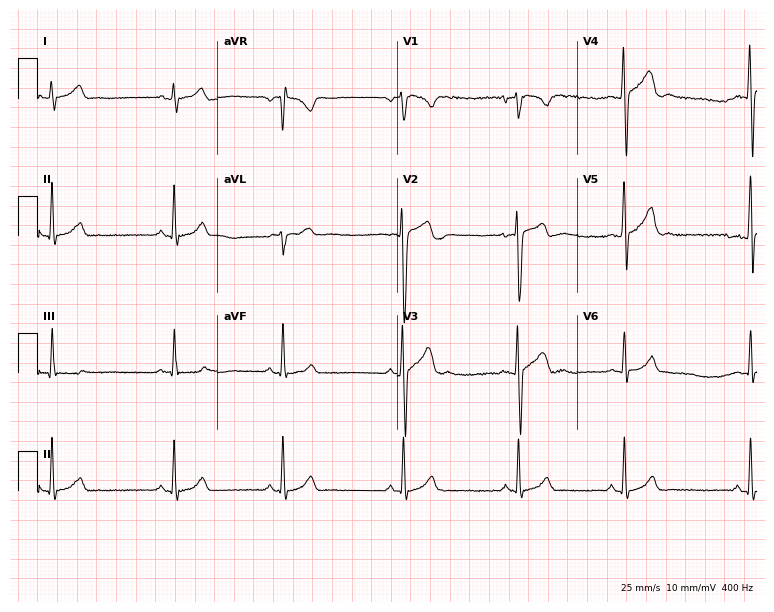
Resting 12-lead electrocardiogram (7.3-second recording at 400 Hz). Patient: a 17-year-old male. Read as a normal ECG.